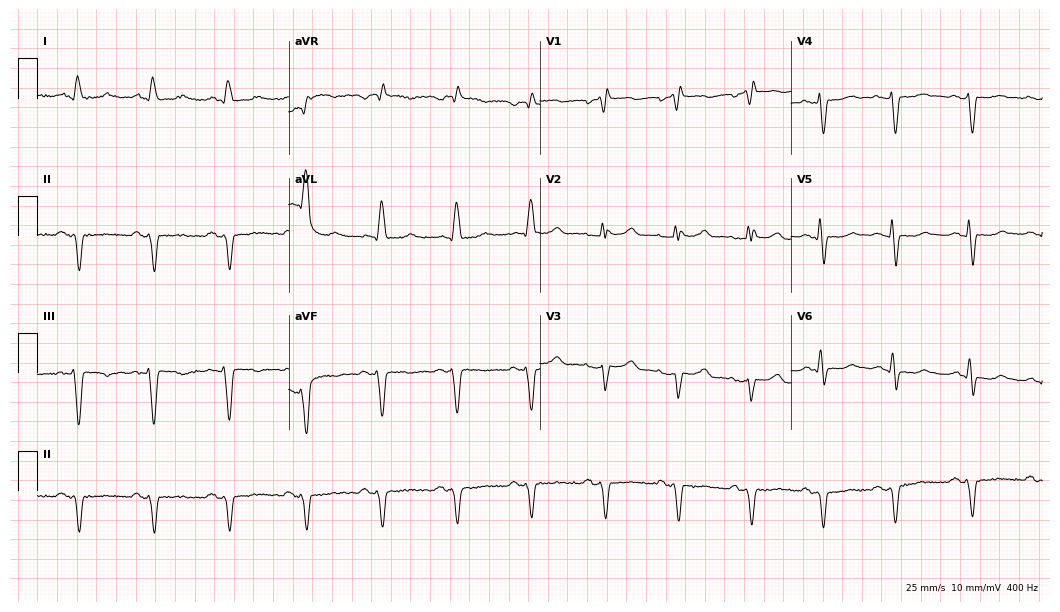
Electrocardiogram, an 82-year-old female. Of the six screened findings (first-degree AV block, right bundle branch block, left bundle branch block, sinus bradycardia, atrial fibrillation, sinus tachycardia), none is recorded. Only these six findings were labelled.